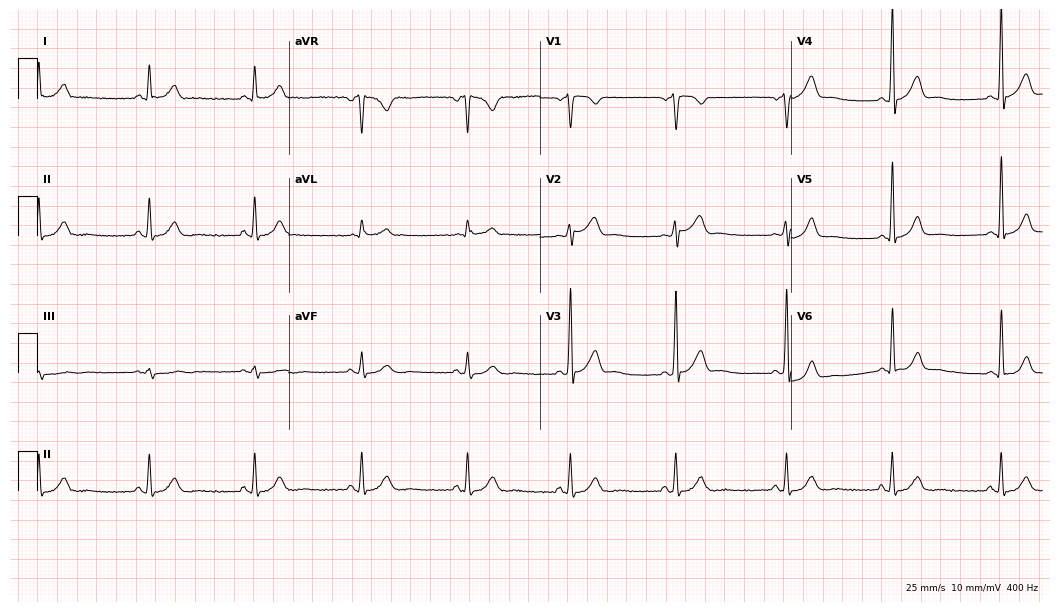
ECG — a male patient, 45 years old. Labelled as a normal ECG.